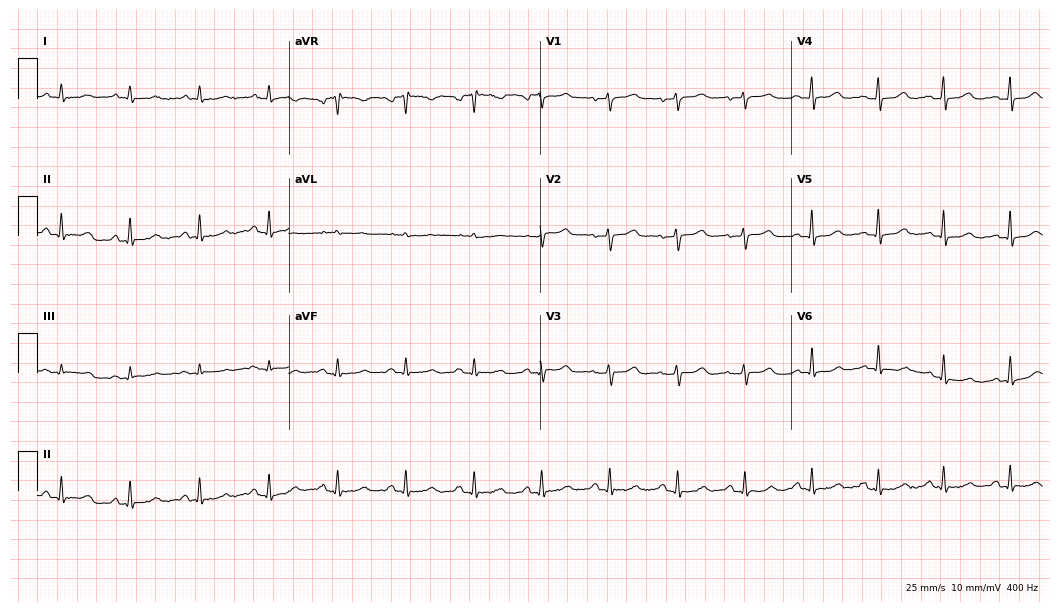
12-lead ECG from a 49-year-old female (10.2-second recording at 400 Hz). Recorded interpretation: within normal limits.